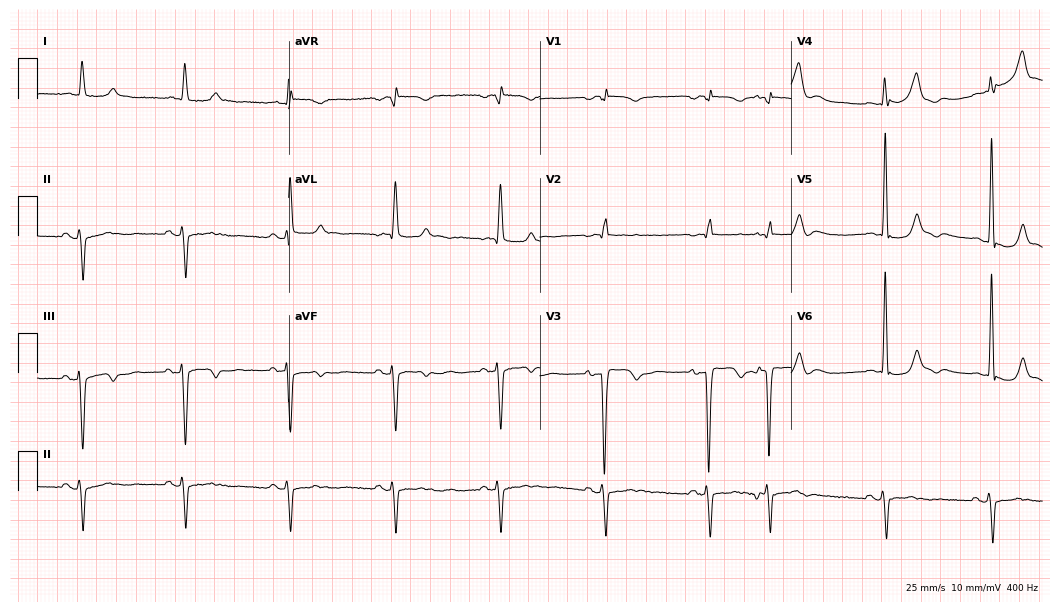
12-lead ECG from a female patient, 78 years old (10.2-second recording at 400 Hz). No first-degree AV block, right bundle branch block (RBBB), left bundle branch block (LBBB), sinus bradycardia, atrial fibrillation (AF) or sinus tachycardia recorded for this tracing. Other findings, if any, are not listed.